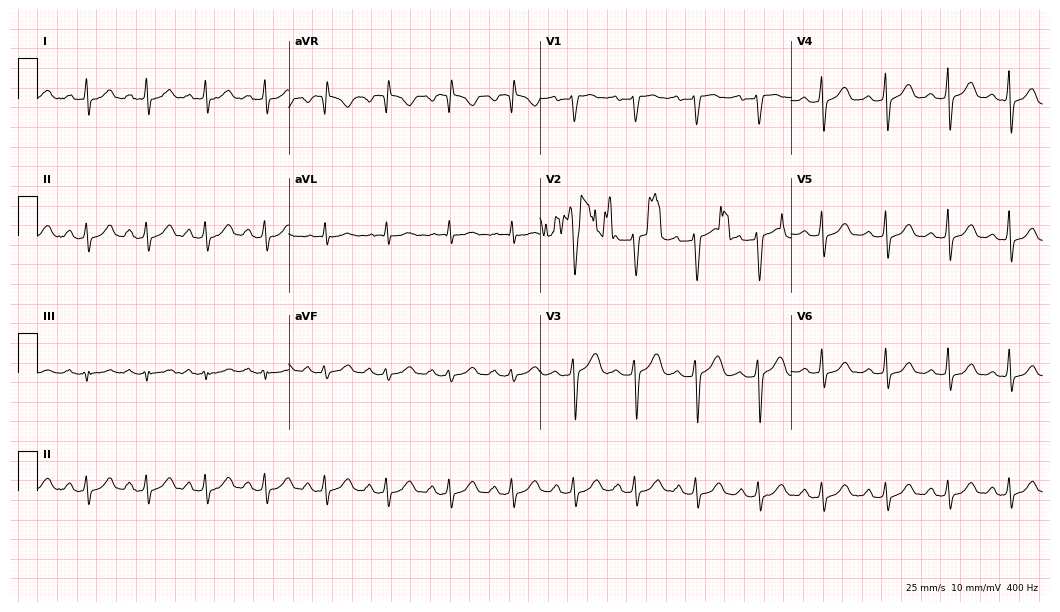
Standard 12-lead ECG recorded from a female patient, 45 years old (10.2-second recording at 400 Hz). None of these six findings is recorded: first-degree AV block, right bundle branch block, left bundle branch block, sinus bradycardia, atrial fibrillation, sinus tachycardia.